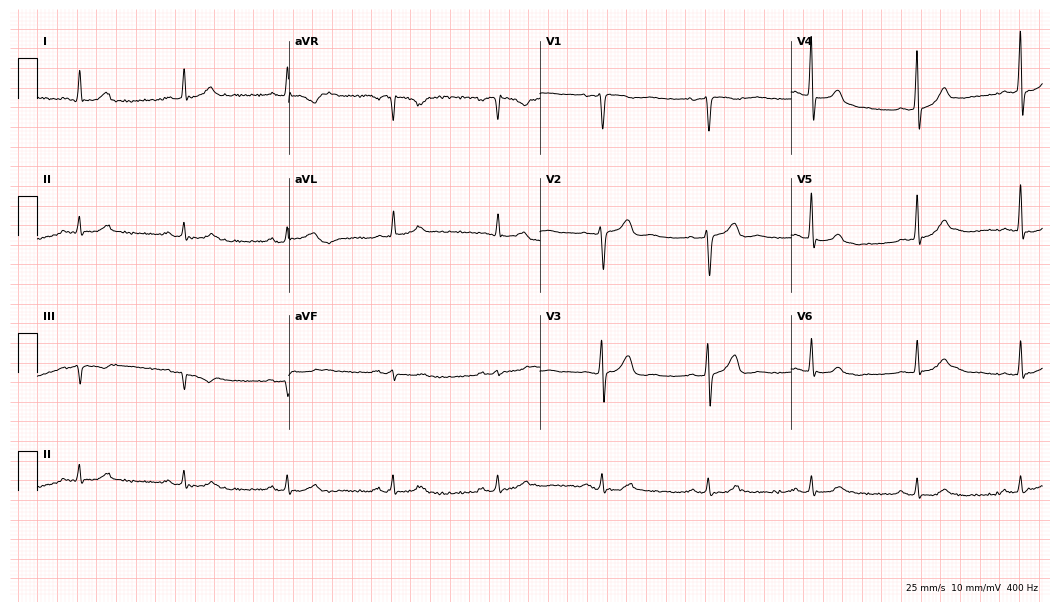
12-lead ECG (10.2-second recording at 400 Hz) from a male patient, 75 years old. Screened for six findings — first-degree AV block, right bundle branch block, left bundle branch block, sinus bradycardia, atrial fibrillation, sinus tachycardia — none is recorded. Findings outside these six are not listed.